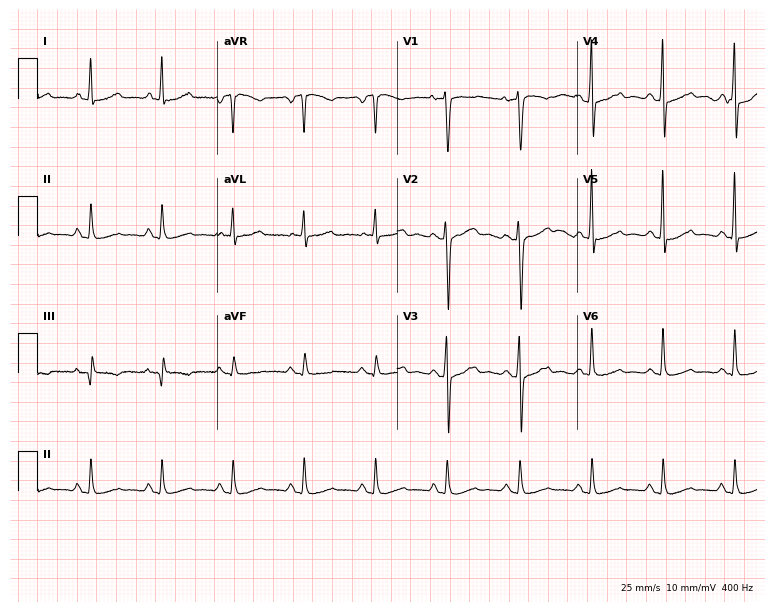
Electrocardiogram, a female, 57 years old. Of the six screened findings (first-degree AV block, right bundle branch block (RBBB), left bundle branch block (LBBB), sinus bradycardia, atrial fibrillation (AF), sinus tachycardia), none is recorded. Findings outside these six are not listed.